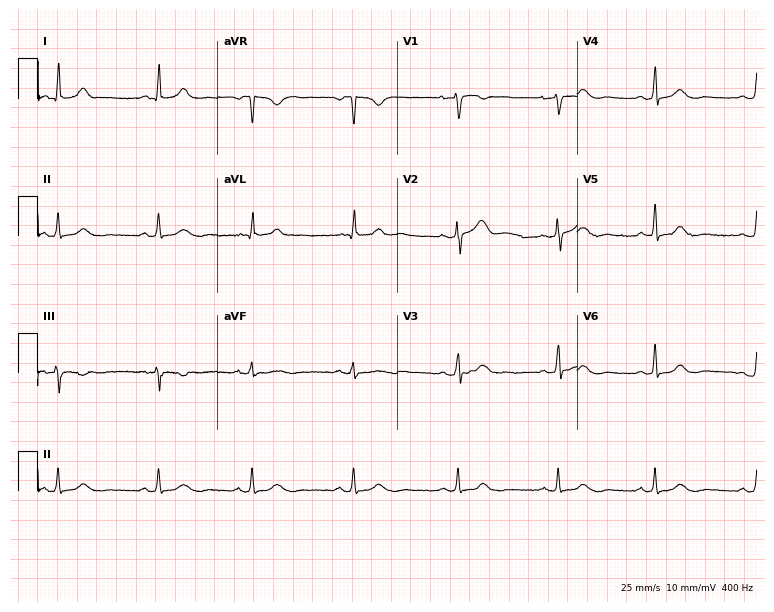
Standard 12-lead ECG recorded from a female, 42 years old (7.3-second recording at 400 Hz). None of these six findings is recorded: first-degree AV block, right bundle branch block (RBBB), left bundle branch block (LBBB), sinus bradycardia, atrial fibrillation (AF), sinus tachycardia.